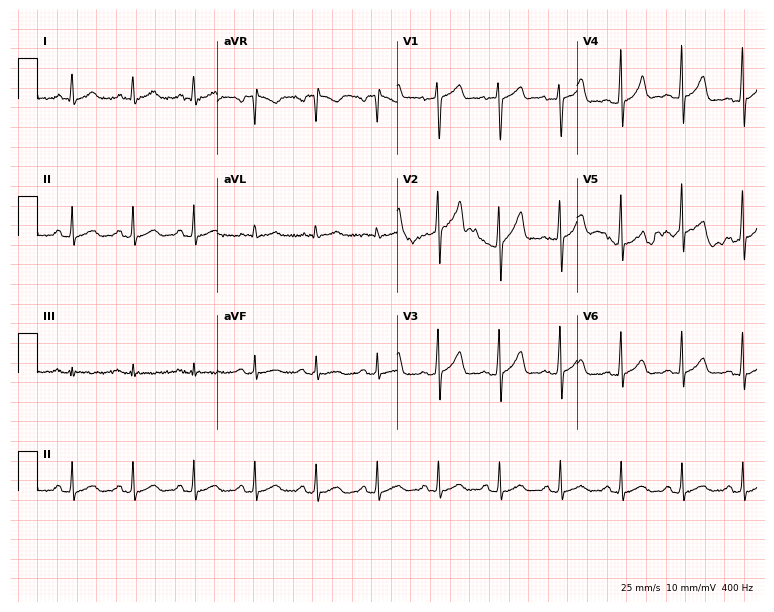
ECG — a male patient, 43 years old. Labelled as a normal ECG.